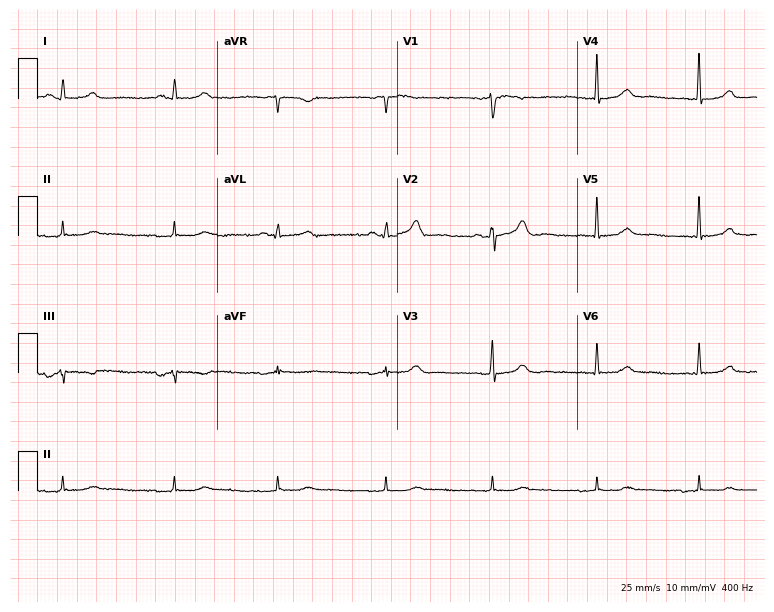
Standard 12-lead ECG recorded from a woman, 50 years old (7.3-second recording at 400 Hz). None of these six findings is recorded: first-degree AV block, right bundle branch block, left bundle branch block, sinus bradycardia, atrial fibrillation, sinus tachycardia. Only these six findings were labelled.